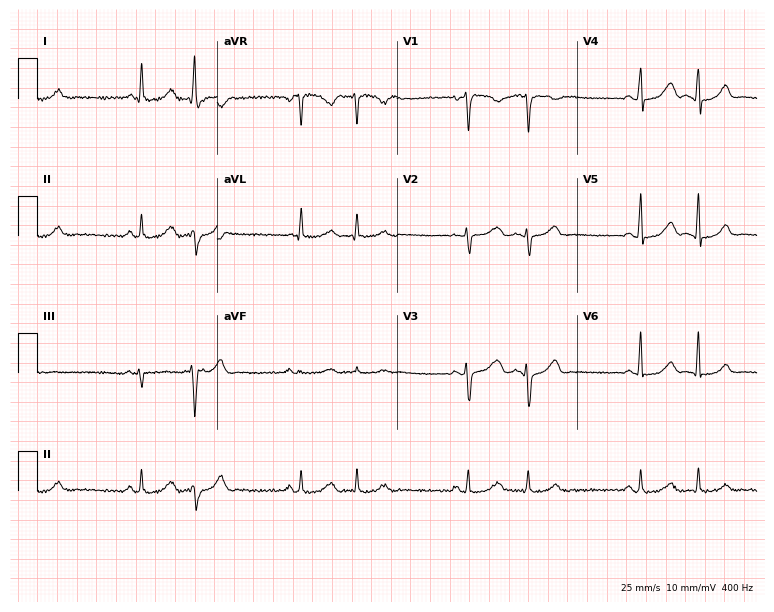
12-lead ECG from a 47-year-old female patient. Screened for six findings — first-degree AV block, right bundle branch block, left bundle branch block, sinus bradycardia, atrial fibrillation, sinus tachycardia — none is recorded.